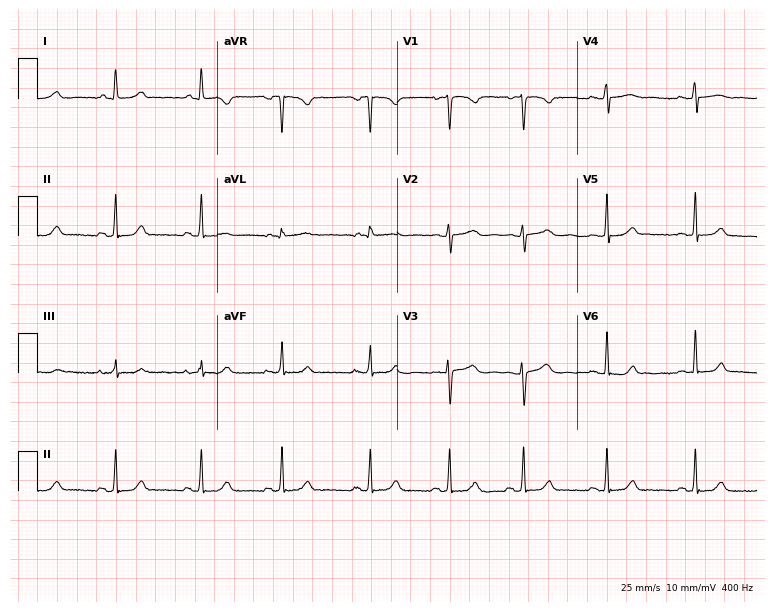
Standard 12-lead ECG recorded from a 21-year-old female patient (7.3-second recording at 400 Hz). Read as a normal ECG.